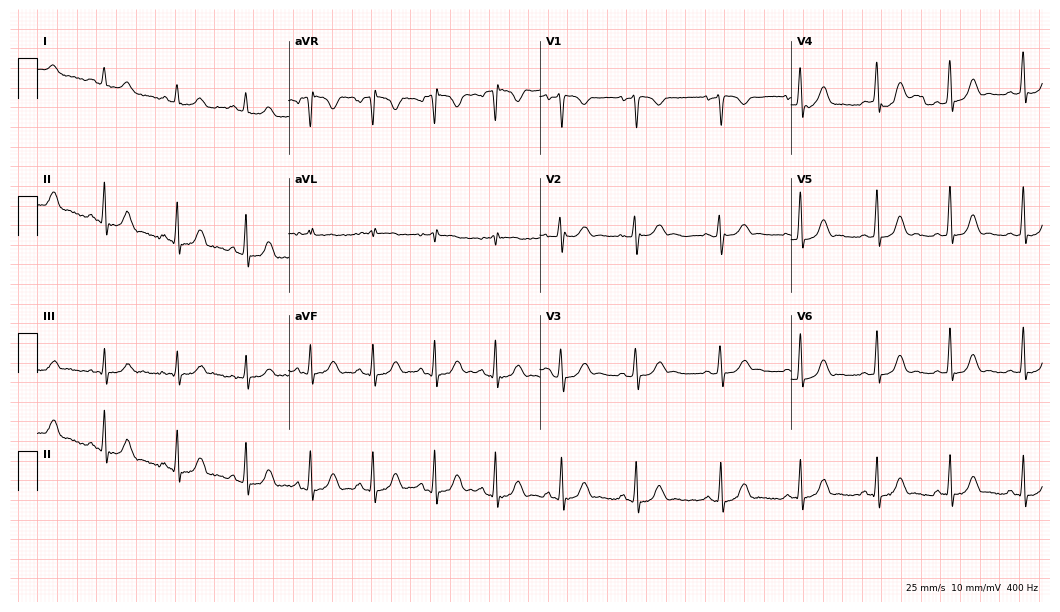
Electrocardiogram (10.2-second recording at 400 Hz), a female patient, 27 years old. Overall reading on record: normal ECG.